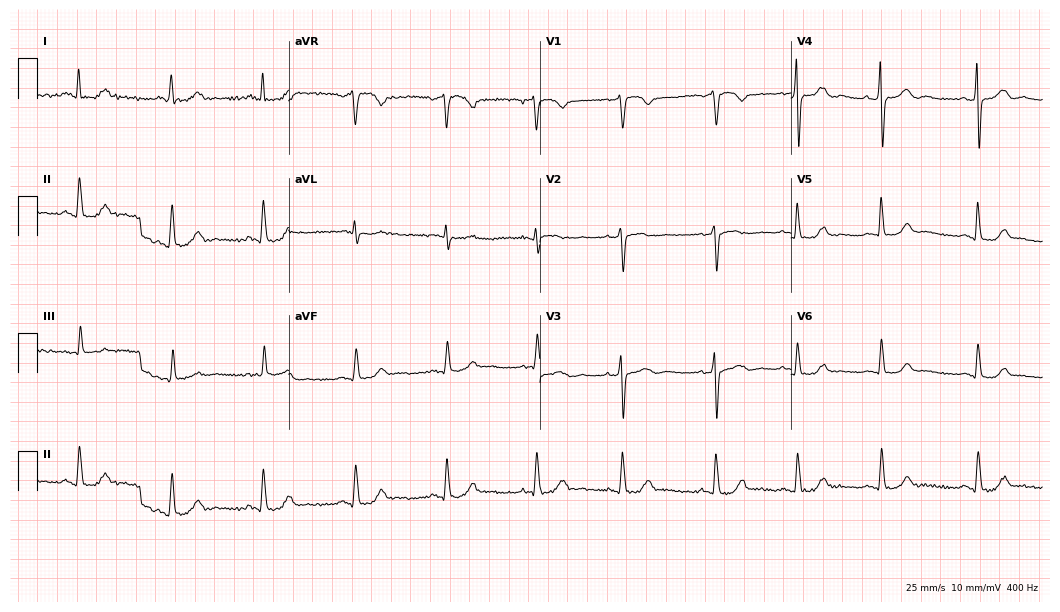
ECG (10.2-second recording at 400 Hz) — a woman, 63 years old. Labelled as a normal ECG.